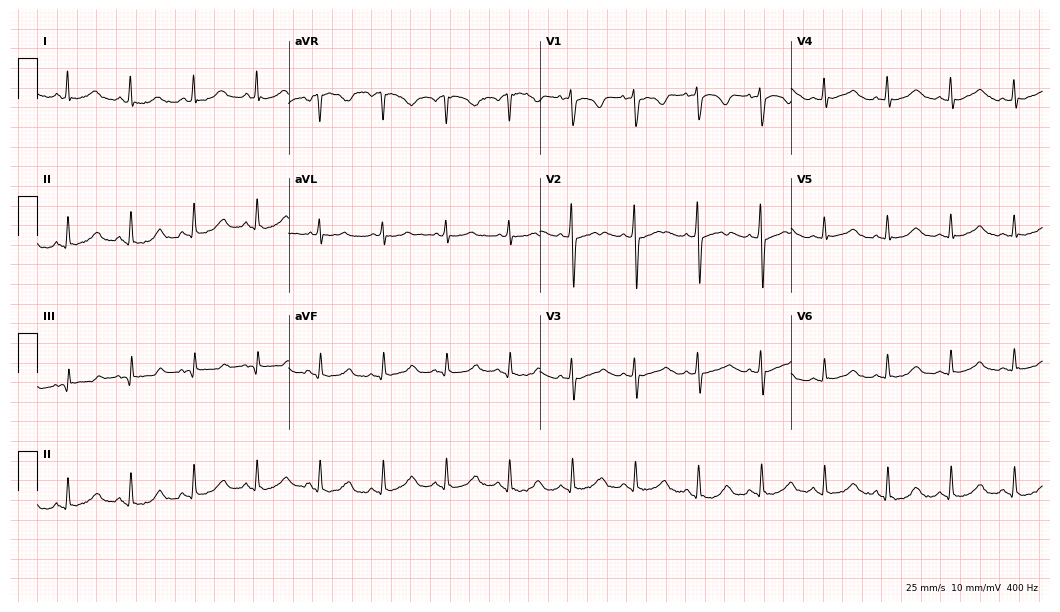
Standard 12-lead ECG recorded from a 67-year-old woman (10.2-second recording at 400 Hz). Read as a normal ECG.